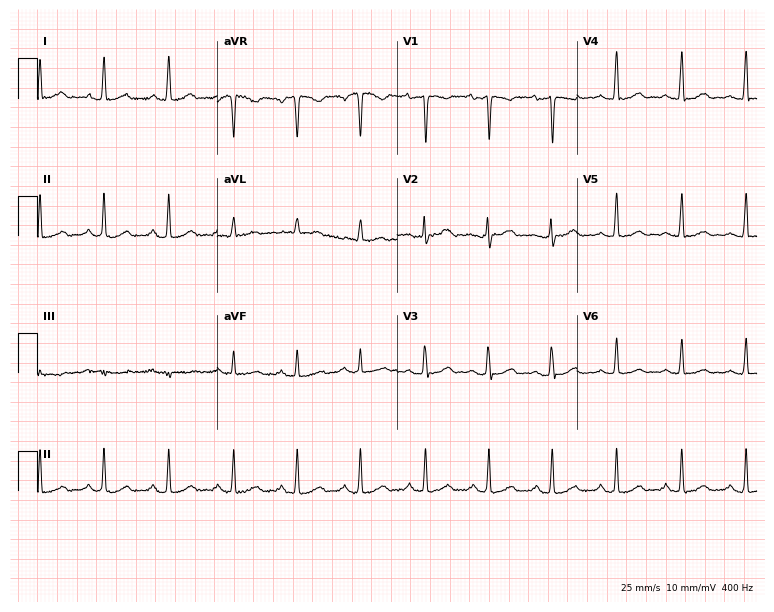
Electrocardiogram (7.3-second recording at 400 Hz), a female patient, 48 years old. Overall reading on record: normal ECG.